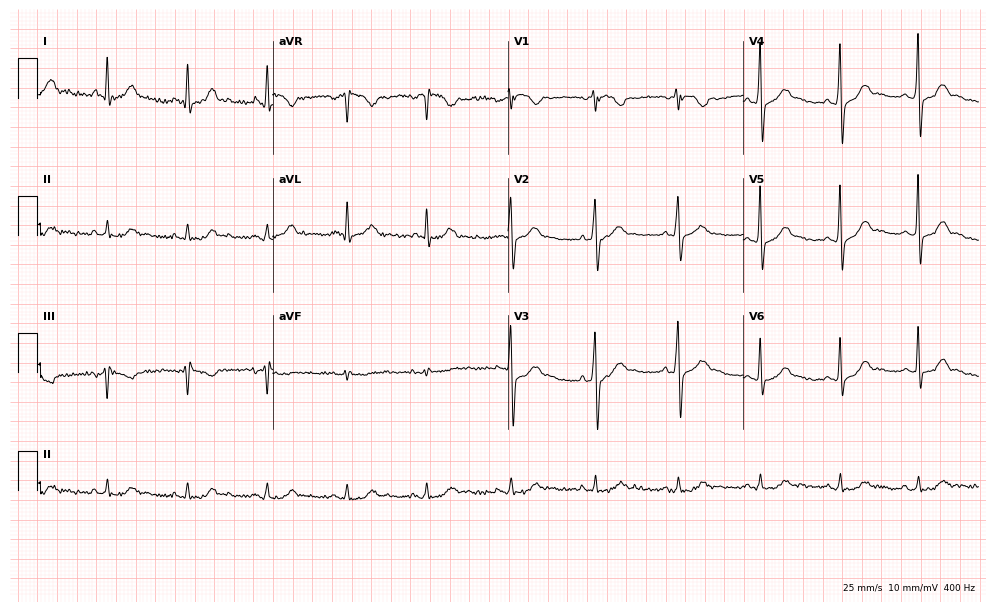
12-lead ECG from a 69-year-old male (9.6-second recording at 400 Hz). No first-degree AV block, right bundle branch block (RBBB), left bundle branch block (LBBB), sinus bradycardia, atrial fibrillation (AF) or sinus tachycardia recorded for this tracing.